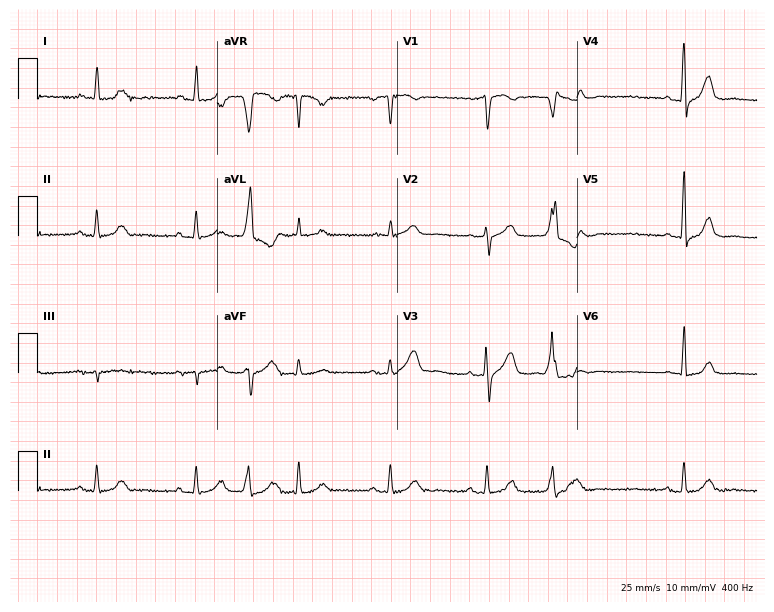
Resting 12-lead electrocardiogram (7.3-second recording at 400 Hz). Patient: a male, 79 years old. None of these six findings is recorded: first-degree AV block, right bundle branch block (RBBB), left bundle branch block (LBBB), sinus bradycardia, atrial fibrillation (AF), sinus tachycardia. Only these six findings were labelled.